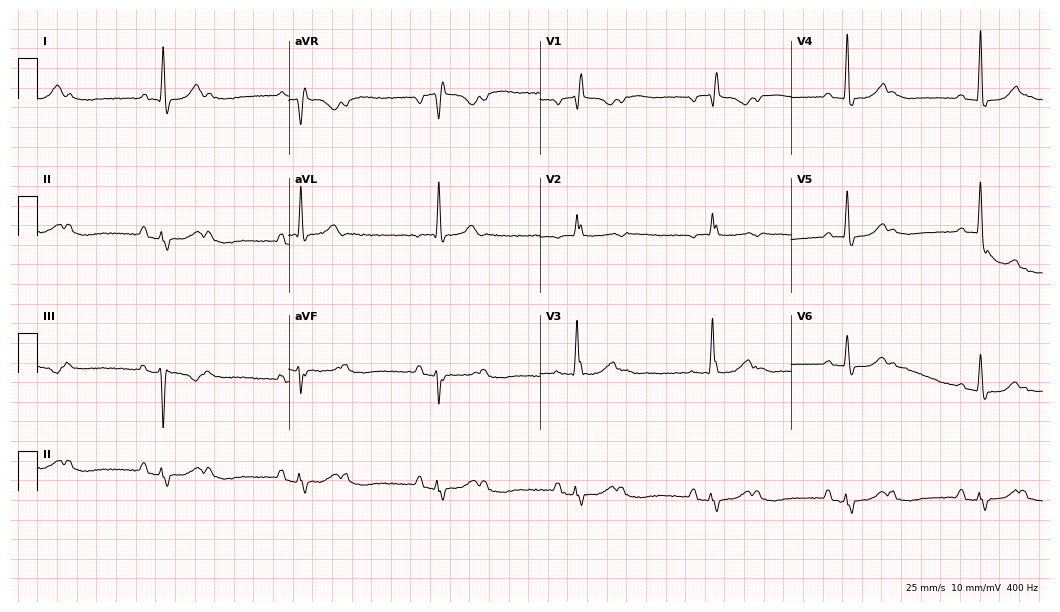
Electrocardiogram, a 77-year-old woman. Of the six screened findings (first-degree AV block, right bundle branch block (RBBB), left bundle branch block (LBBB), sinus bradycardia, atrial fibrillation (AF), sinus tachycardia), none is recorded.